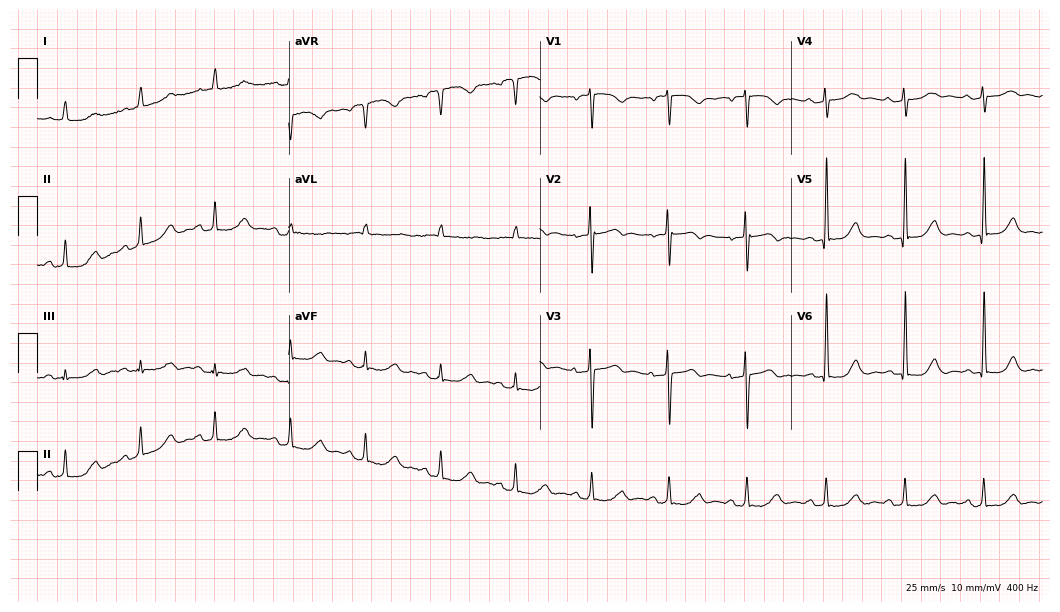
Standard 12-lead ECG recorded from a 70-year-old male (10.2-second recording at 400 Hz). None of these six findings is recorded: first-degree AV block, right bundle branch block (RBBB), left bundle branch block (LBBB), sinus bradycardia, atrial fibrillation (AF), sinus tachycardia.